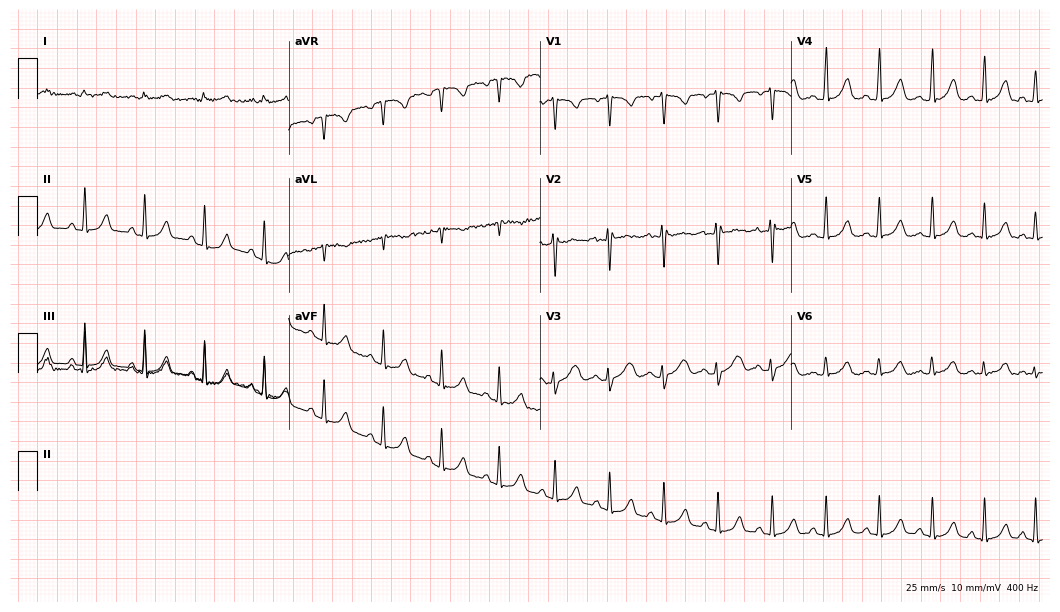
Resting 12-lead electrocardiogram. Patient: a female, 28 years old. The tracing shows sinus tachycardia (a sinus rate of 100 beats per minute or more).